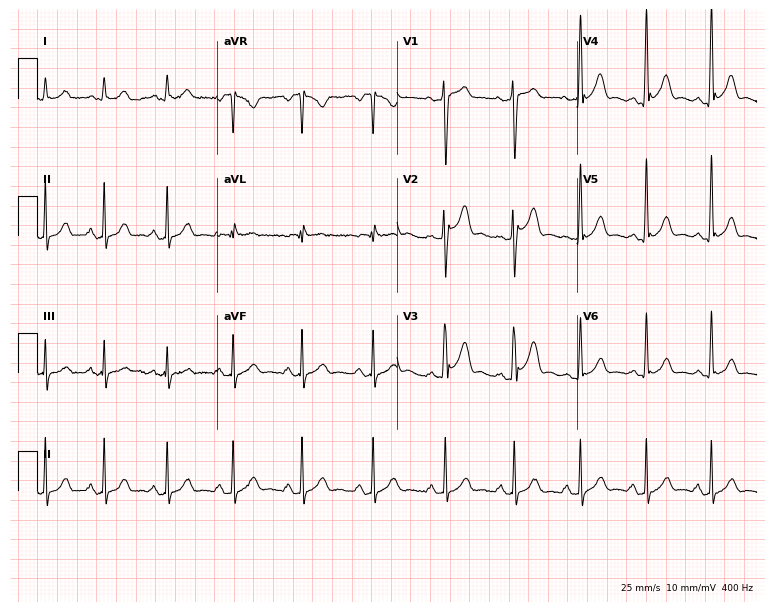
ECG — a 37-year-old male patient. Labelled as a normal ECG.